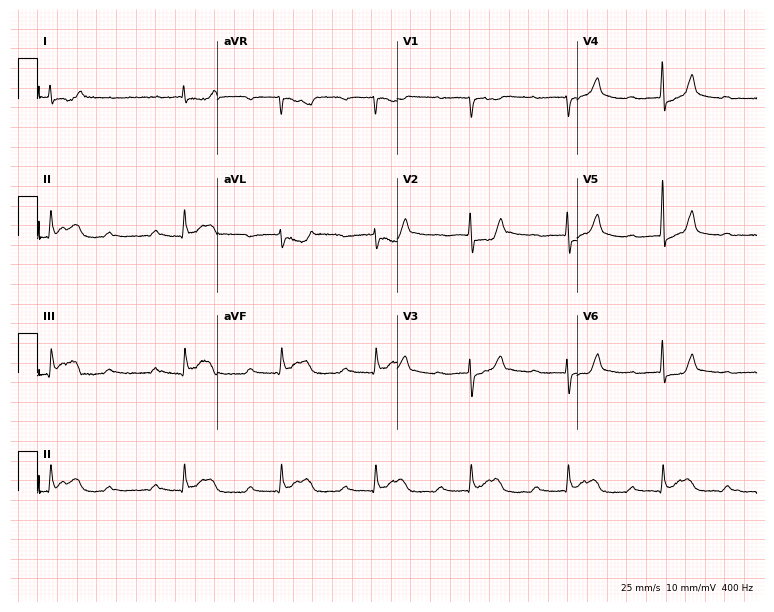
Electrocardiogram (7.3-second recording at 400 Hz), a woman, 36 years old. Interpretation includes atrial fibrillation.